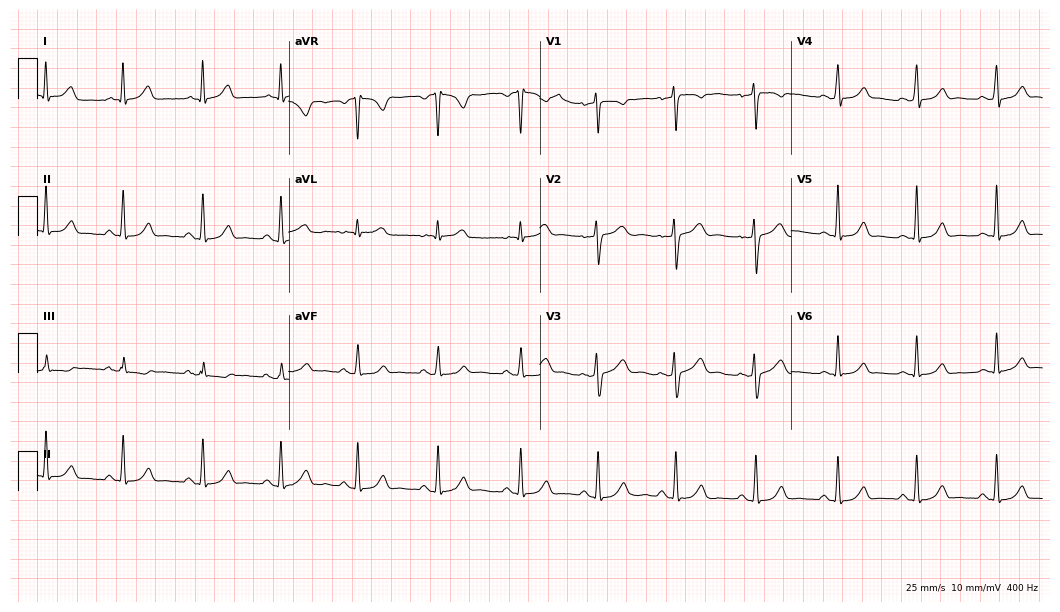
Resting 12-lead electrocardiogram (10.2-second recording at 400 Hz). Patient: a female, 49 years old. Read as a normal ECG.